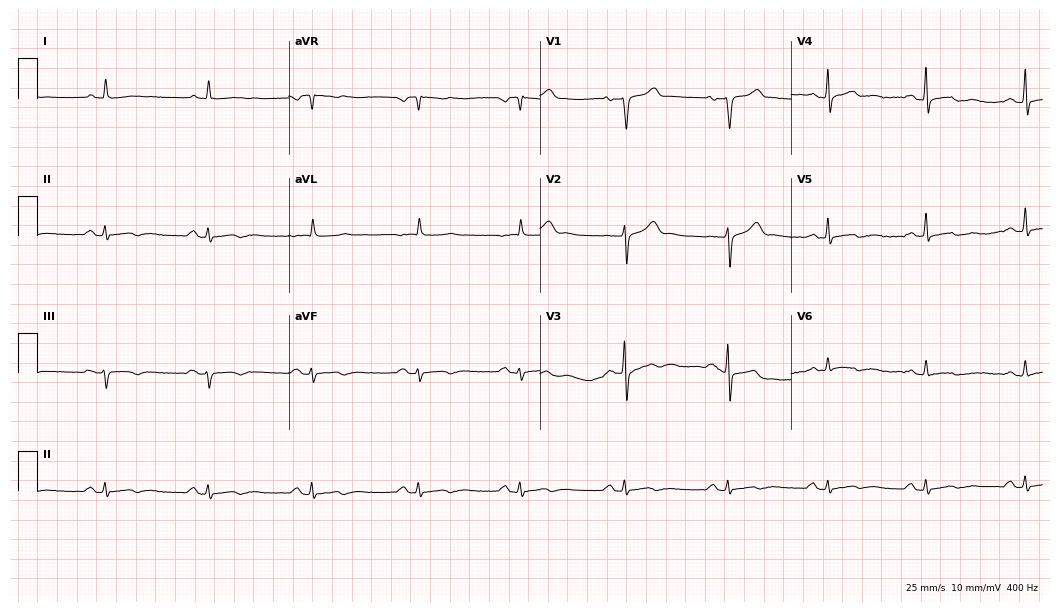
12-lead ECG from a male patient, 64 years old (10.2-second recording at 400 Hz). No first-degree AV block, right bundle branch block (RBBB), left bundle branch block (LBBB), sinus bradycardia, atrial fibrillation (AF) or sinus tachycardia recorded for this tracing. Other findings, if any, are not listed.